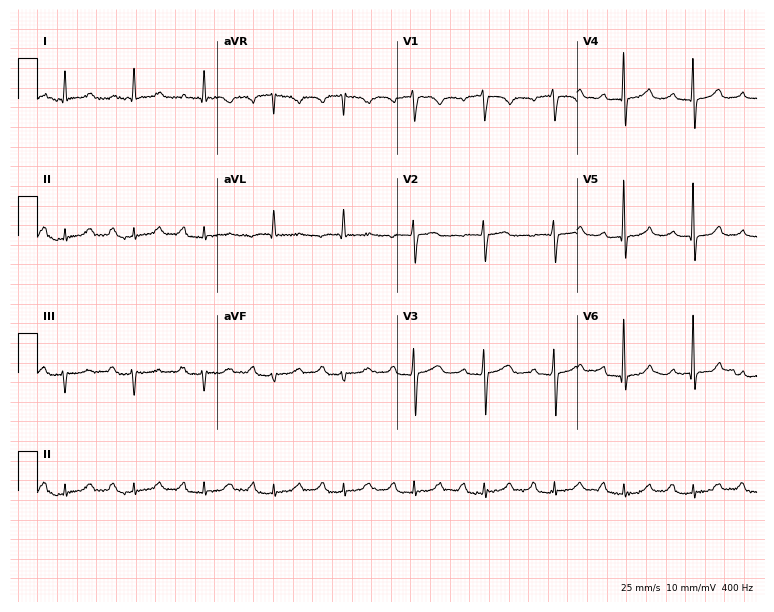
ECG (7.3-second recording at 400 Hz) — an 81-year-old man. Findings include first-degree AV block.